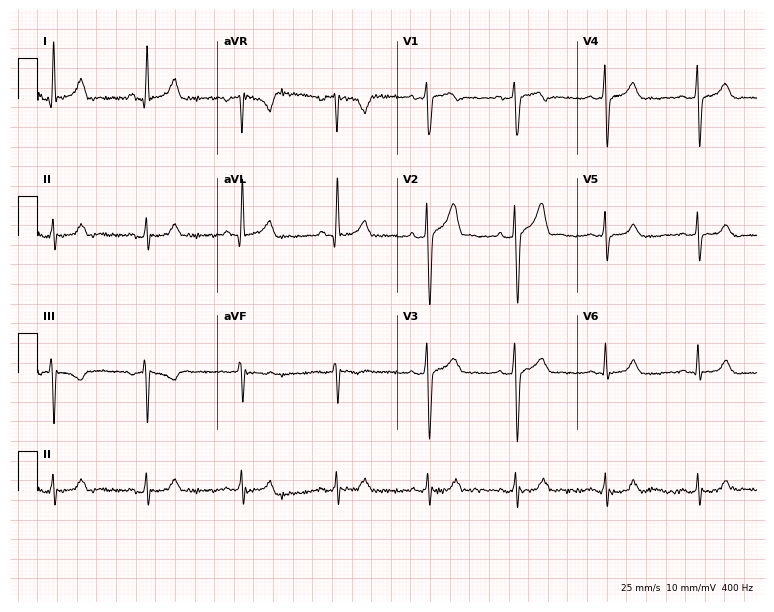
12-lead ECG from a 45-year-old man. Labelled as a normal ECG.